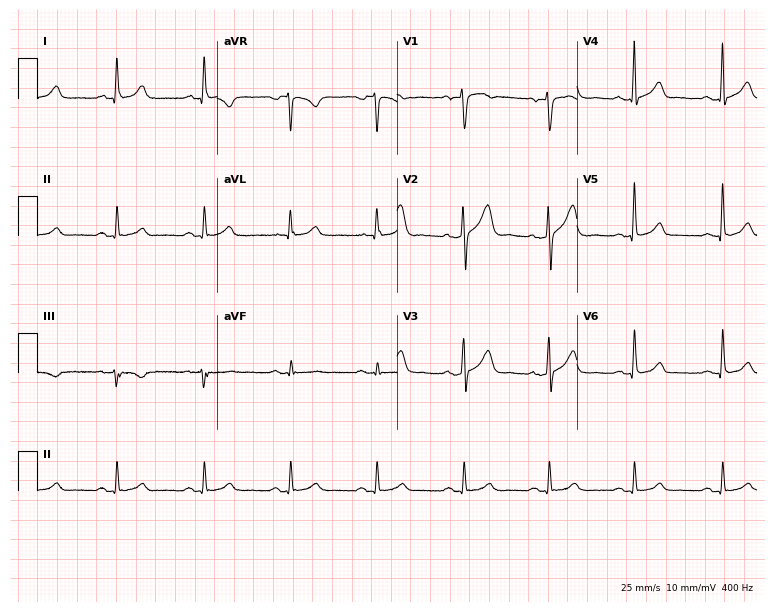
Electrocardiogram, a 64-year-old man. Overall reading on record: normal ECG.